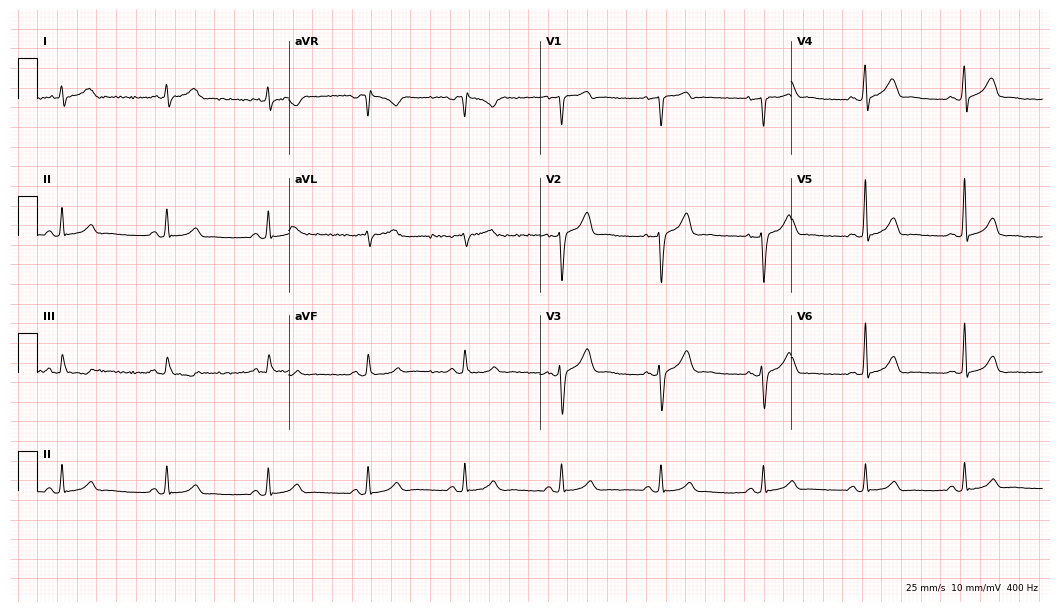
Resting 12-lead electrocardiogram (10.2-second recording at 400 Hz). Patient: a 27-year-old male. Read as a normal ECG.